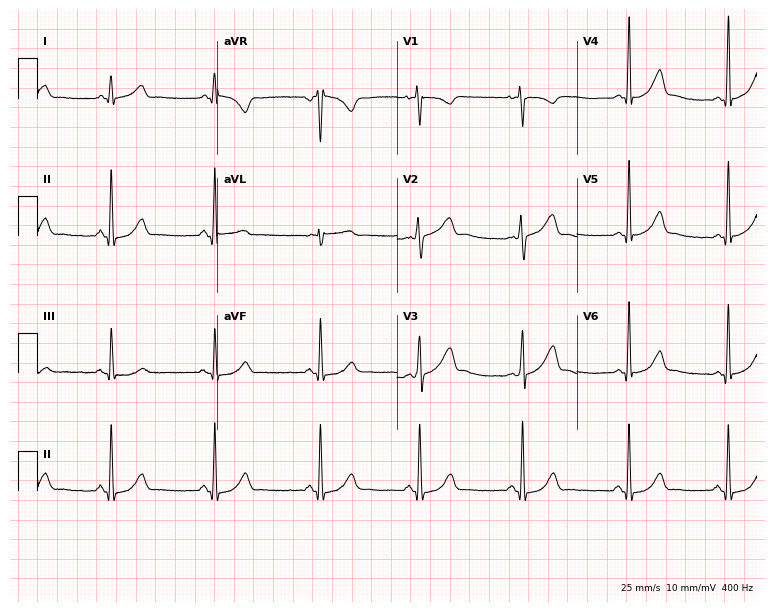
Electrocardiogram (7.3-second recording at 400 Hz), a 26-year-old female. Overall reading on record: normal ECG.